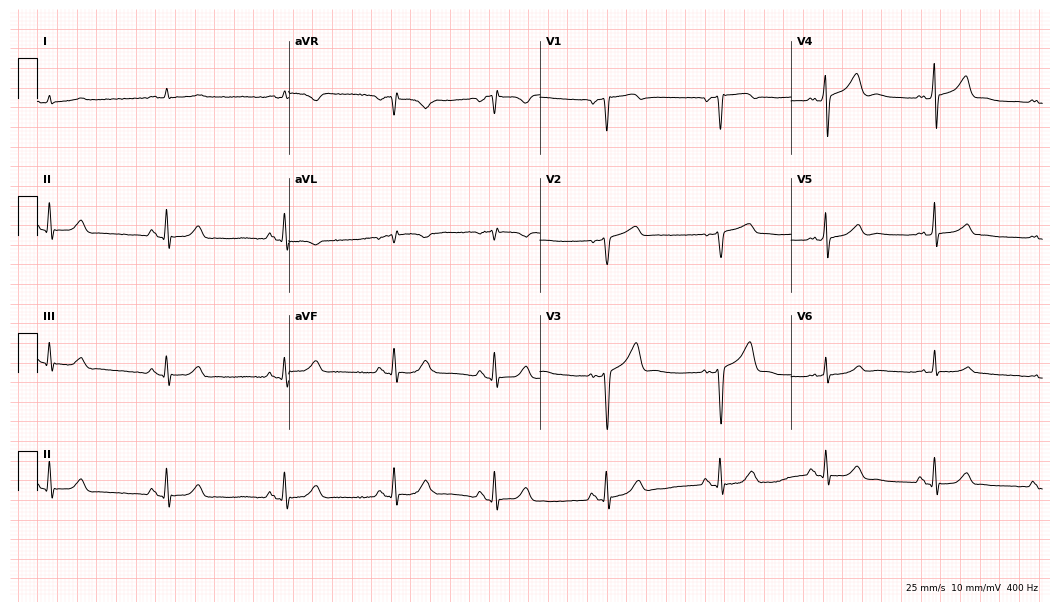
Electrocardiogram (10.2-second recording at 400 Hz), a female, 61 years old. Of the six screened findings (first-degree AV block, right bundle branch block, left bundle branch block, sinus bradycardia, atrial fibrillation, sinus tachycardia), none is recorded. Findings outside these six are not listed.